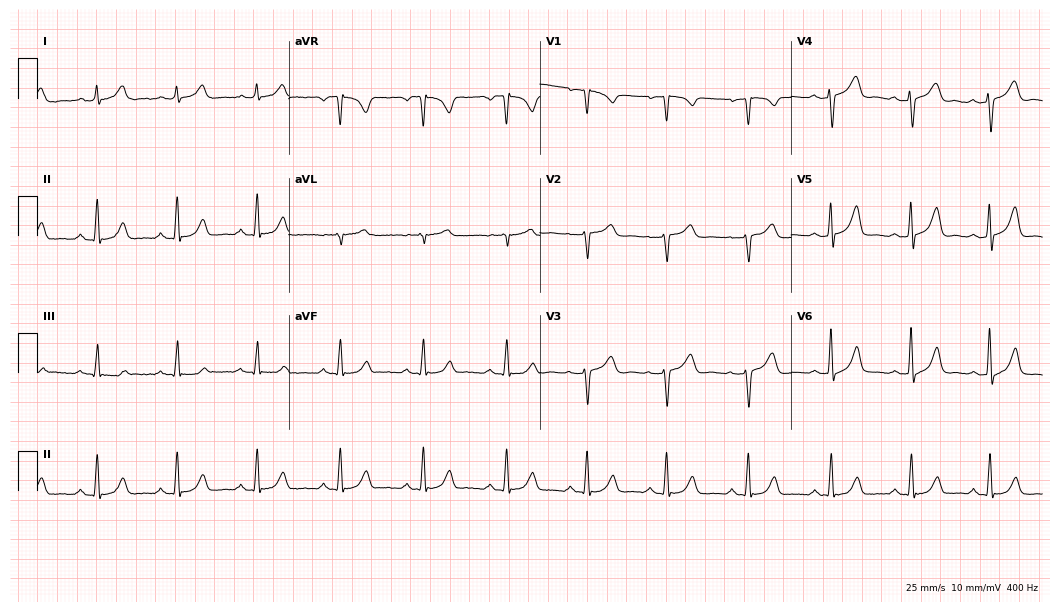
Standard 12-lead ECG recorded from a 27-year-old woman (10.2-second recording at 400 Hz). Read as a normal ECG.